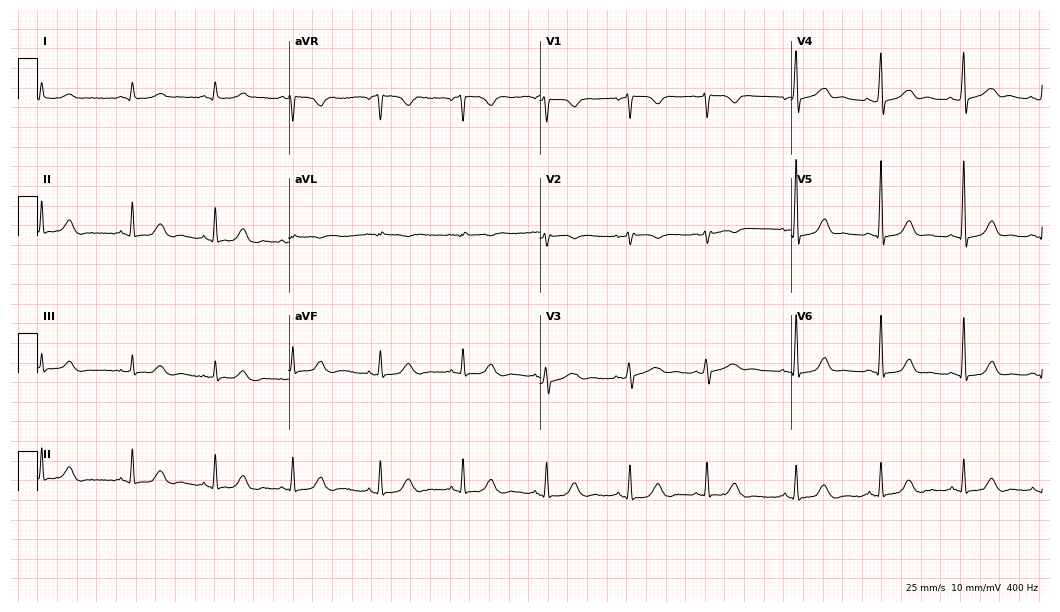
12-lead ECG (10.2-second recording at 400 Hz) from a female patient, 51 years old. Labelled as a normal ECG.